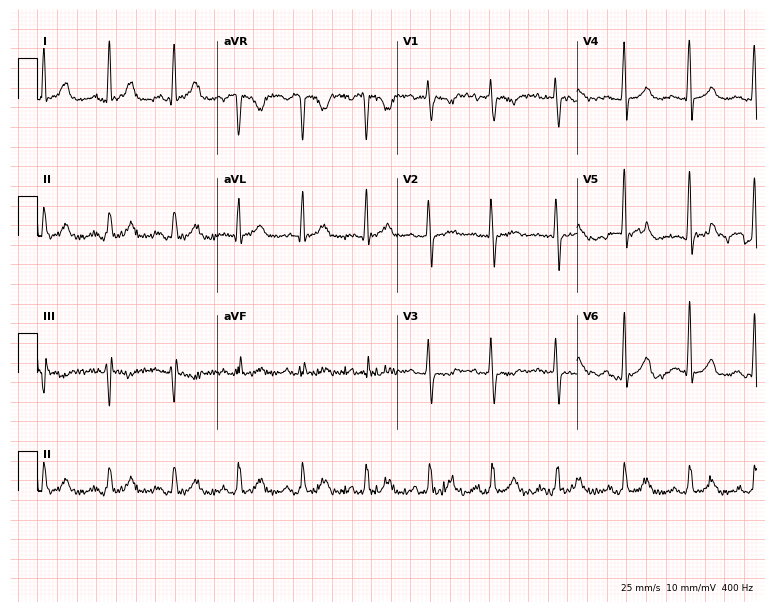
12-lead ECG from a woman, 35 years old. No first-degree AV block, right bundle branch block, left bundle branch block, sinus bradycardia, atrial fibrillation or sinus tachycardia recorded for this tracing. Findings outside these six are not listed.